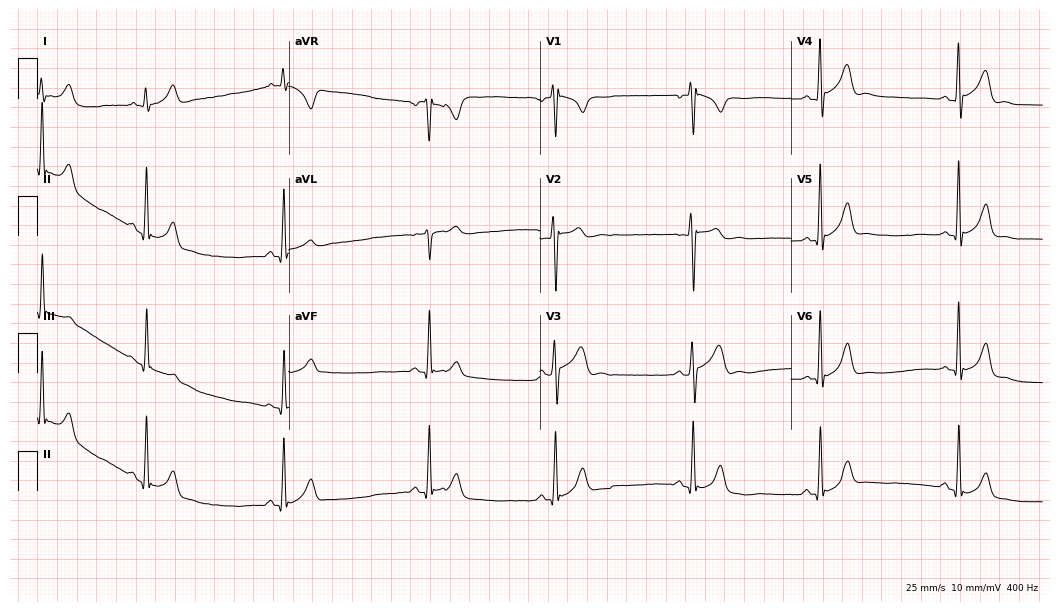
12-lead ECG from a man, 20 years old. Shows sinus bradycardia (a sinus rate of 50 beats per minute or less).